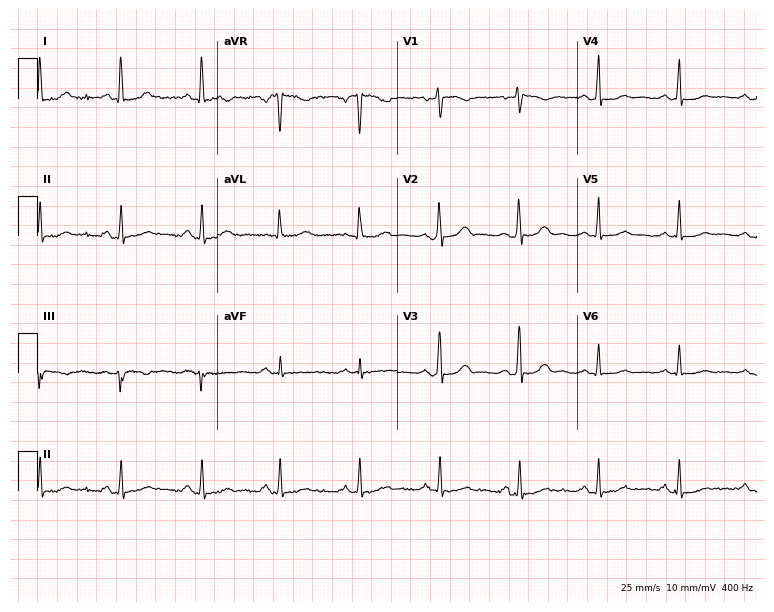
Resting 12-lead electrocardiogram (7.3-second recording at 400 Hz). Patient: a 55-year-old woman. None of these six findings is recorded: first-degree AV block, right bundle branch block, left bundle branch block, sinus bradycardia, atrial fibrillation, sinus tachycardia.